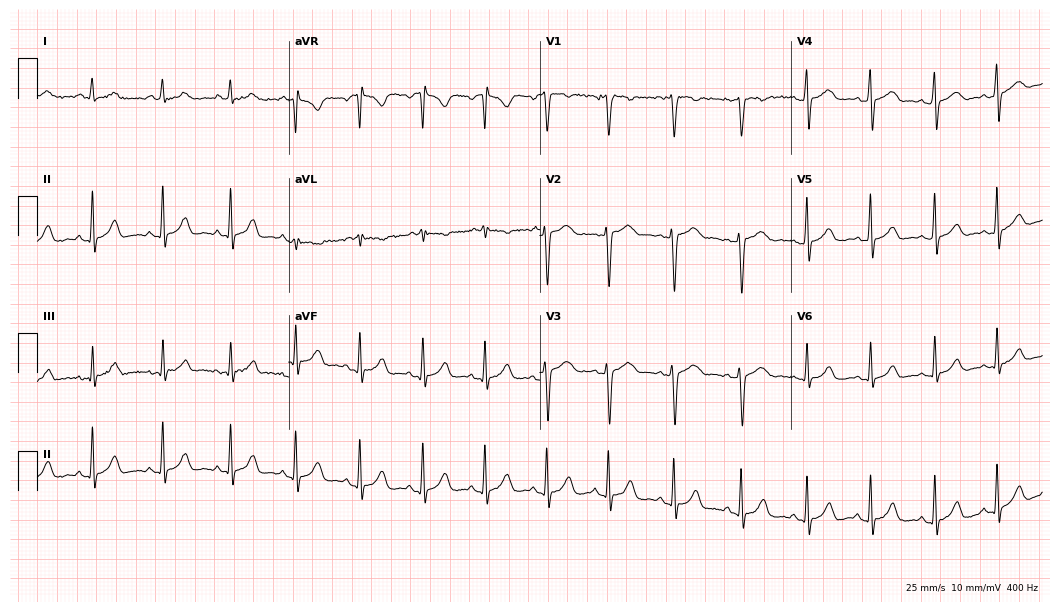
ECG — a female, 21 years old. Screened for six findings — first-degree AV block, right bundle branch block, left bundle branch block, sinus bradycardia, atrial fibrillation, sinus tachycardia — none is recorded. Other findings, if any, are not listed.